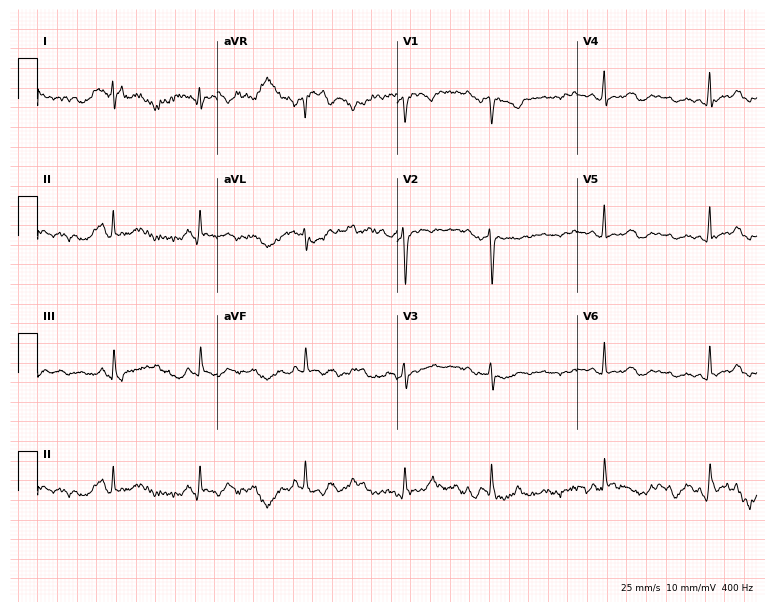
Resting 12-lead electrocardiogram (7.3-second recording at 400 Hz). Patient: a female, 38 years old. None of these six findings is recorded: first-degree AV block, right bundle branch block (RBBB), left bundle branch block (LBBB), sinus bradycardia, atrial fibrillation (AF), sinus tachycardia.